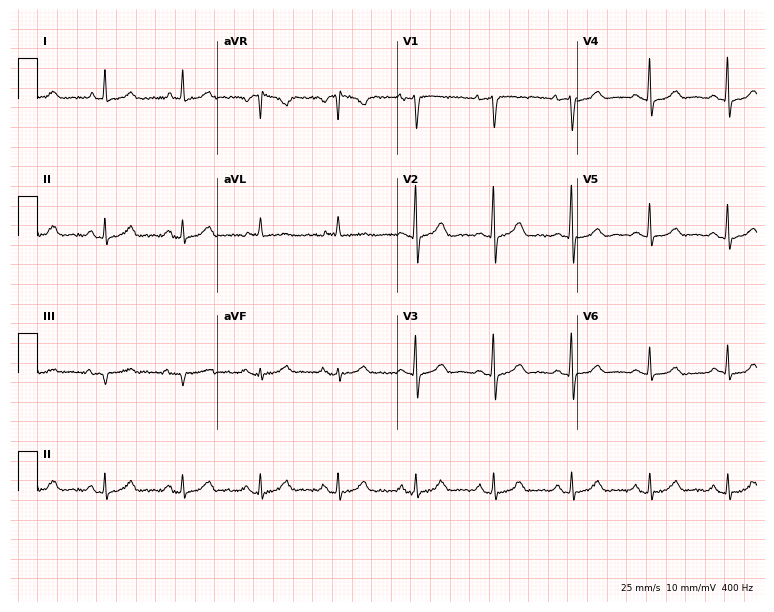
ECG (7.3-second recording at 400 Hz) — a woman, 74 years old. Labelled as a normal ECG.